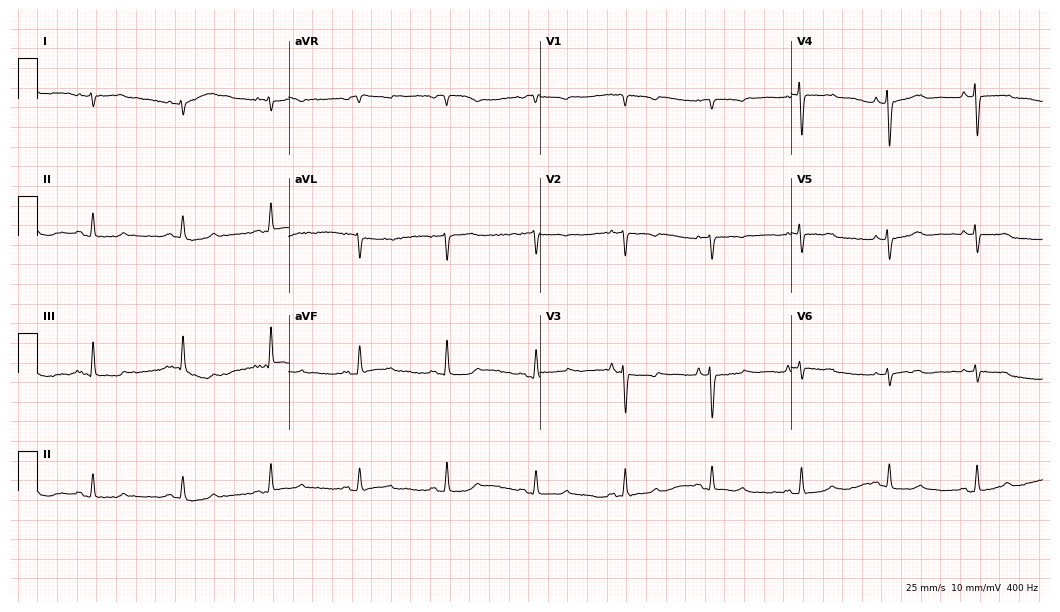
Electrocardiogram (10.2-second recording at 400 Hz), a woman, 76 years old. Of the six screened findings (first-degree AV block, right bundle branch block, left bundle branch block, sinus bradycardia, atrial fibrillation, sinus tachycardia), none is recorded.